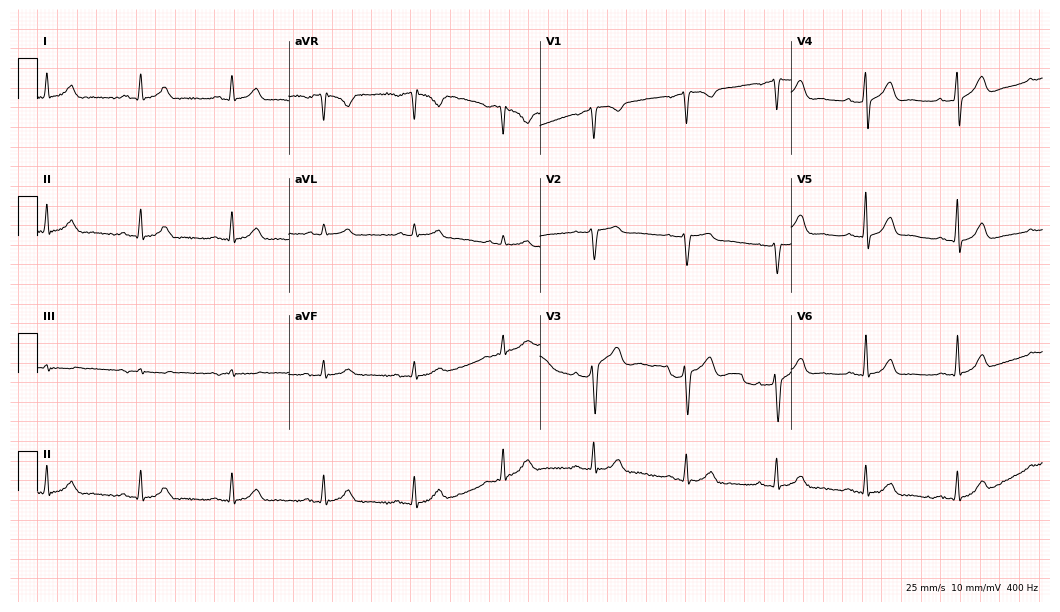
Electrocardiogram (10.2-second recording at 400 Hz), a 61-year-old male. Overall reading on record: normal ECG.